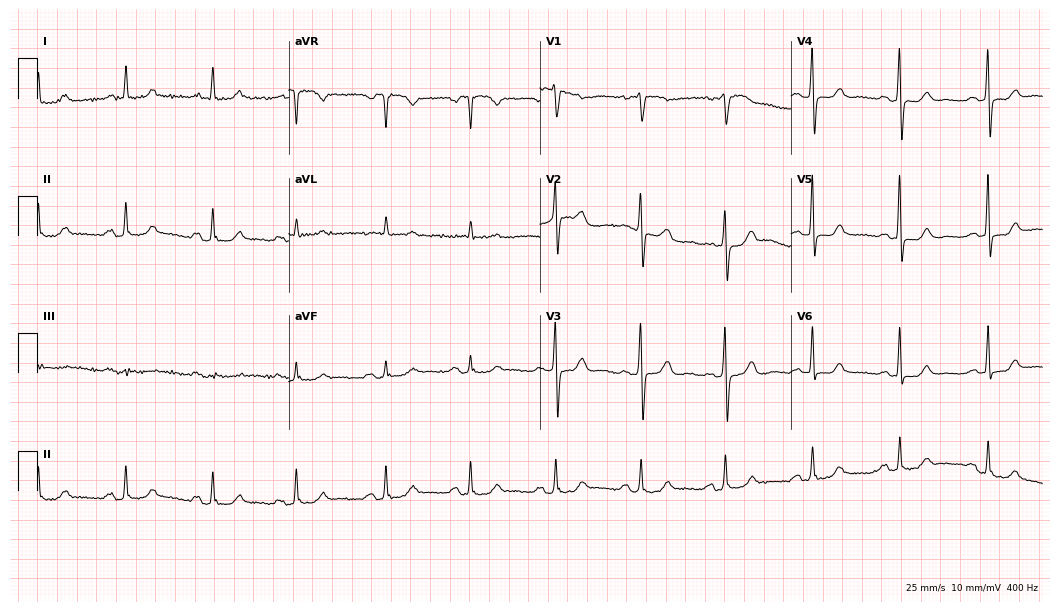
12-lead ECG from an 80-year-old female patient. Screened for six findings — first-degree AV block, right bundle branch block, left bundle branch block, sinus bradycardia, atrial fibrillation, sinus tachycardia — none is recorded. Other findings, if any, are not listed.